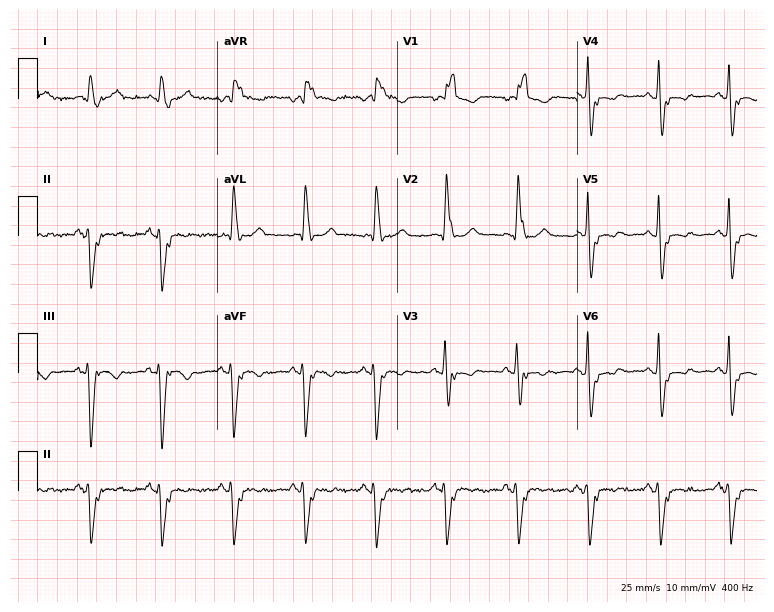
Resting 12-lead electrocardiogram. Patient: an 85-year-old female. The tracing shows right bundle branch block.